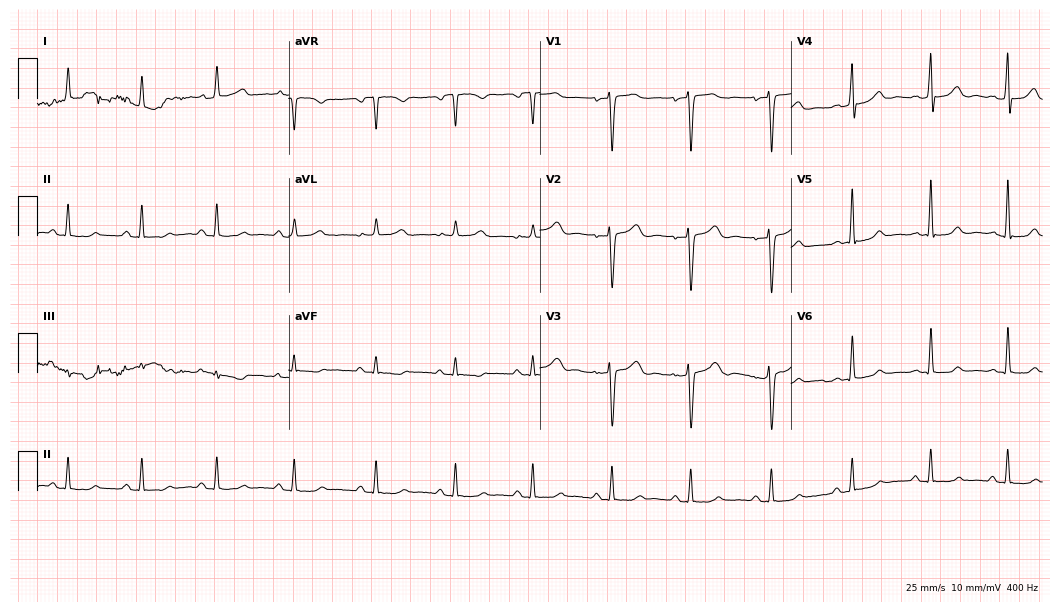
ECG — a woman, 40 years old. Labelled as a normal ECG.